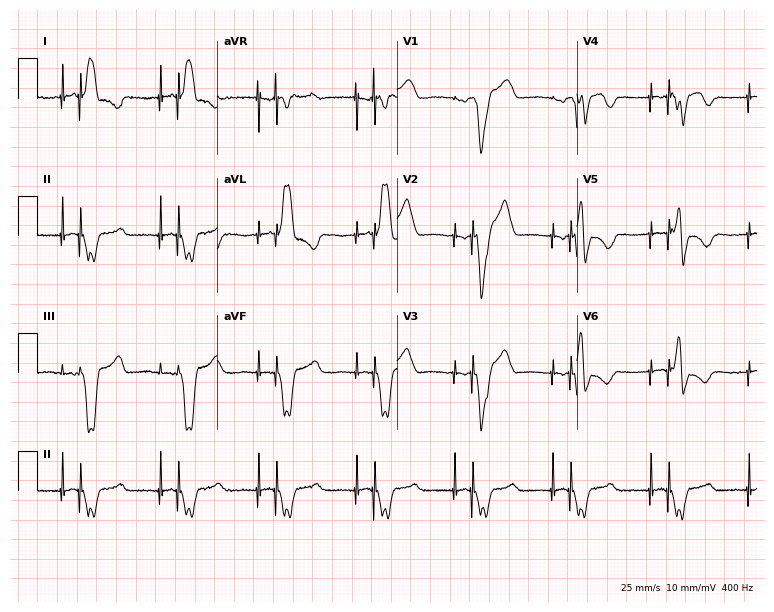
12-lead ECG from a male patient, 77 years old. No first-degree AV block, right bundle branch block (RBBB), left bundle branch block (LBBB), sinus bradycardia, atrial fibrillation (AF) or sinus tachycardia recorded for this tracing.